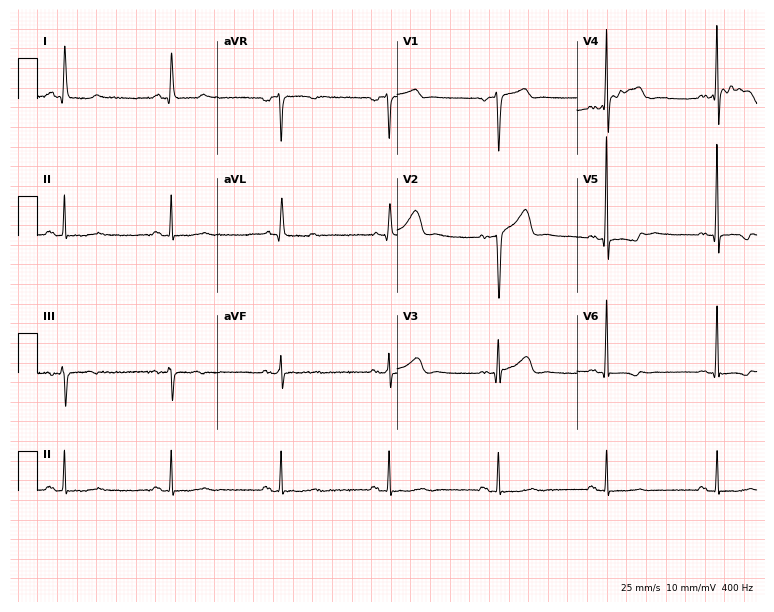
12-lead ECG from a woman, 84 years old. No first-degree AV block, right bundle branch block (RBBB), left bundle branch block (LBBB), sinus bradycardia, atrial fibrillation (AF) or sinus tachycardia recorded for this tracing.